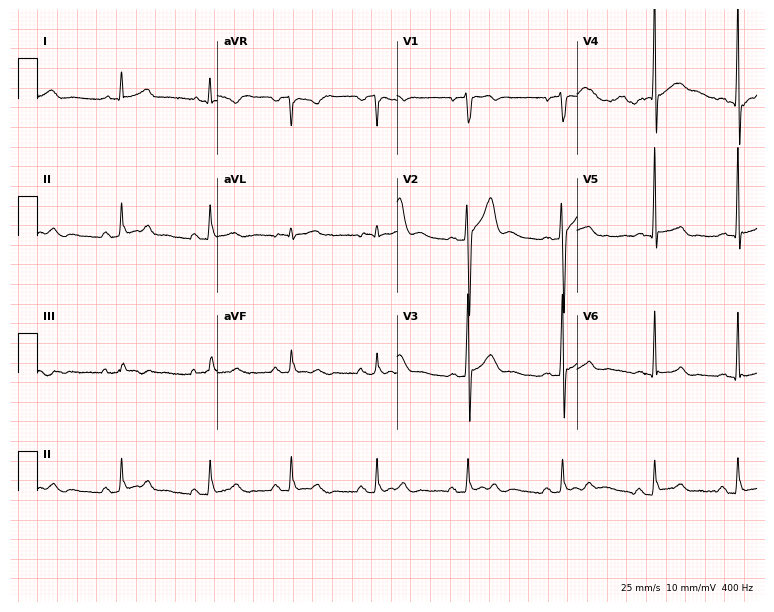
Standard 12-lead ECG recorded from a male patient, 20 years old (7.3-second recording at 400 Hz). Read as a normal ECG.